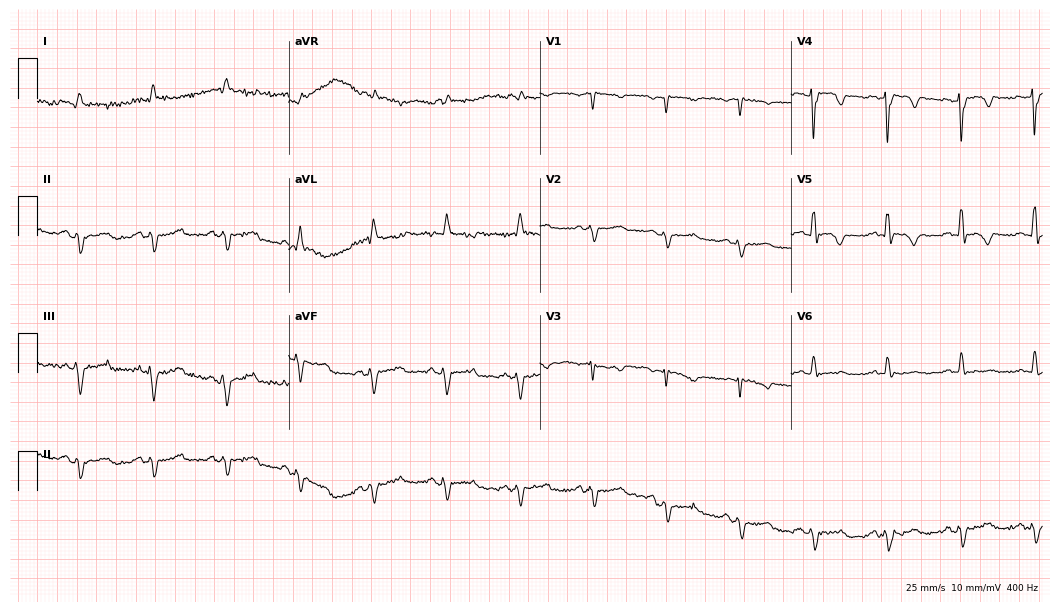
12-lead ECG from a 79-year-old male patient (10.2-second recording at 400 Hz). No first-degree AV block, right bundle branch block (RBBB), left bundle branch block (LBBB), sinus bradycardia, atrial fibrillation (AF) or sinus tachycardia recorded for this tracing. Findings outside these six are not listed.